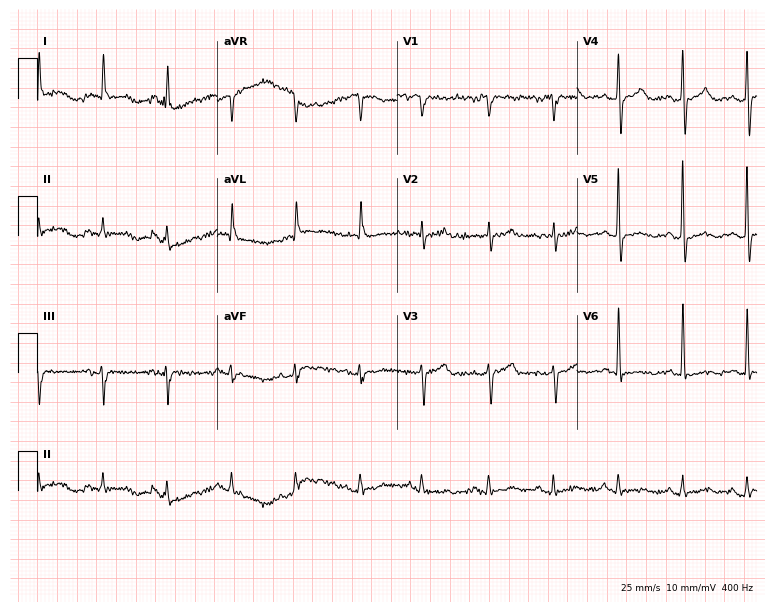
ECG (7.3-second recording at 400 Hz) — an 85-year-old male. Screened for six findings — first-degree AV block, right bundle branch block (RBBB), left bundle branch block (LBBB), sinus bradycardia, atrial fibrillation (AF), sinus tachycardia — none is recorded. Only these six findings were labelled.